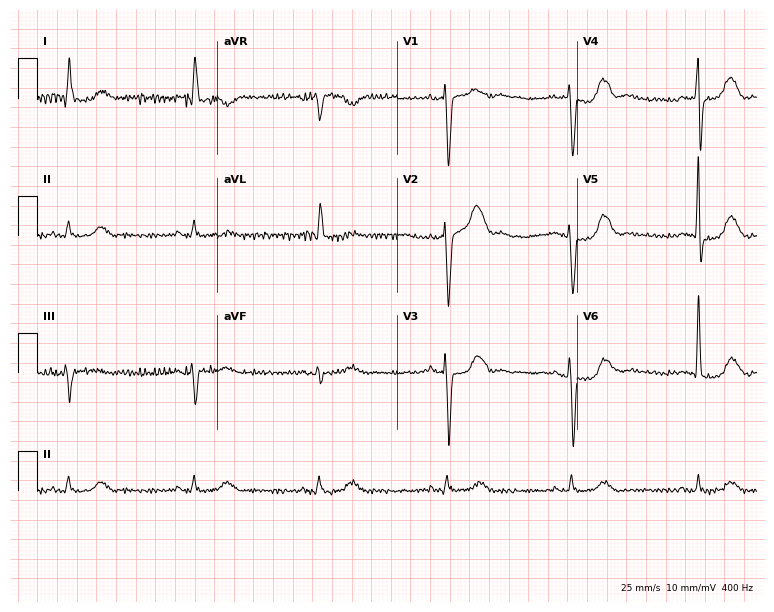
Electrocardiogram (7.3-second recording at 400 Hz), a 78-year-old male patient. Of the six screened findings (first-degree AV block, right bundle branch block (RBBB), left bundle branch block (LBBB), sinus bradycardia, atrial fibrillation (AF), sinus tachycardia), none is recorded.